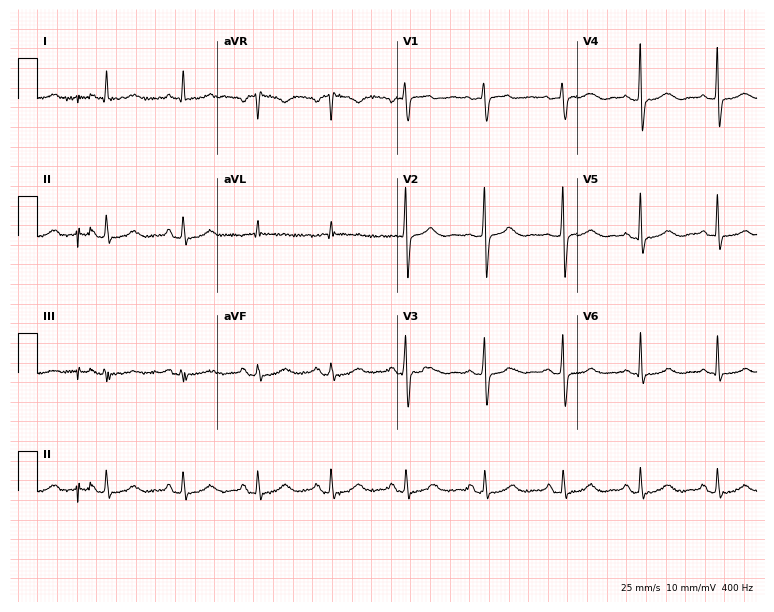
Standard 12-lead ECG recorded from a female patient, 63 years old. None of these six findings is recorded: first-degree AV block, right bundle branch block, left bundle branch block, sinus bradycardia, atrial fibrillation, sinus tachycardia.